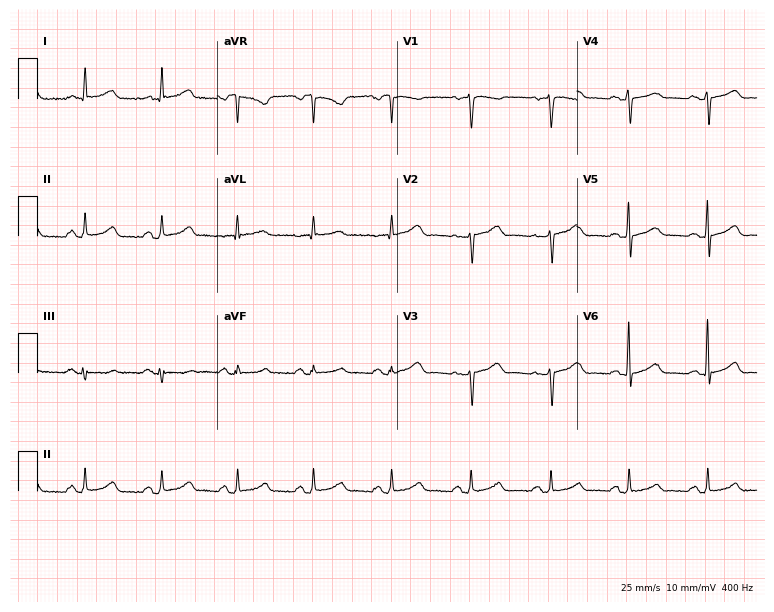
Standard 12-lead ECG recorded from a female, 65 years old. Read as a normal ECG.